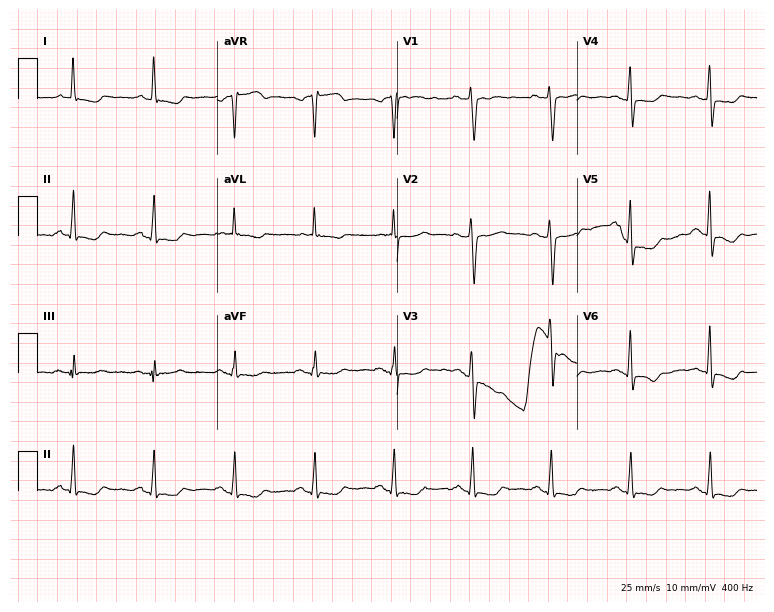
Electrocardiogram (7.3-second recording at 400 Hz), a 59-year-old female patient. Of the six screened findings (first-degree AV block, right bundle branch block (RBBB), left bundle branch block (LBBB), sinus bradycardia, atrial fibrillation (AF), sinus tachycardia), none is recorded. Other findings, if any, are not listed.